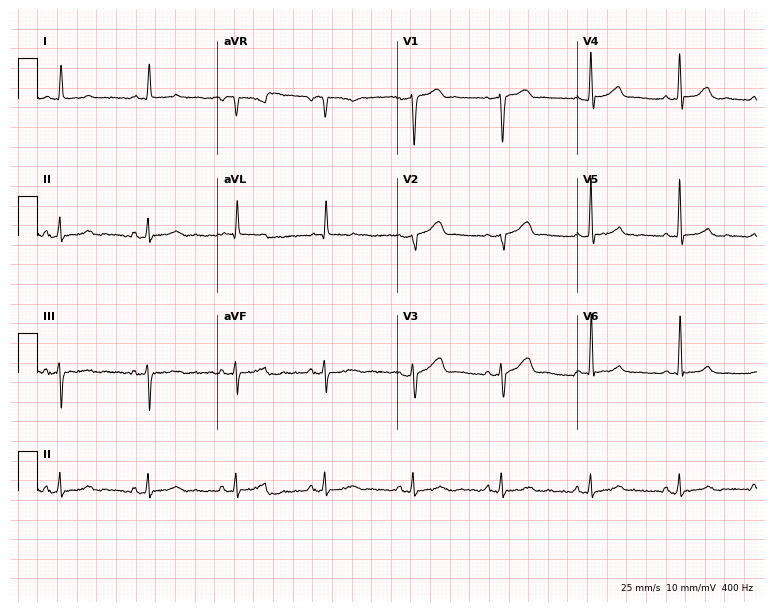
ECG (7.3-second recording at 400 Hz) — an 81-year-old man. Screened for six findings — first-degree AV block, right bundle branch block, left bundle branch block, sinus bradycardia, atrial fibrillation, sinus tachycardia — none is recorded.